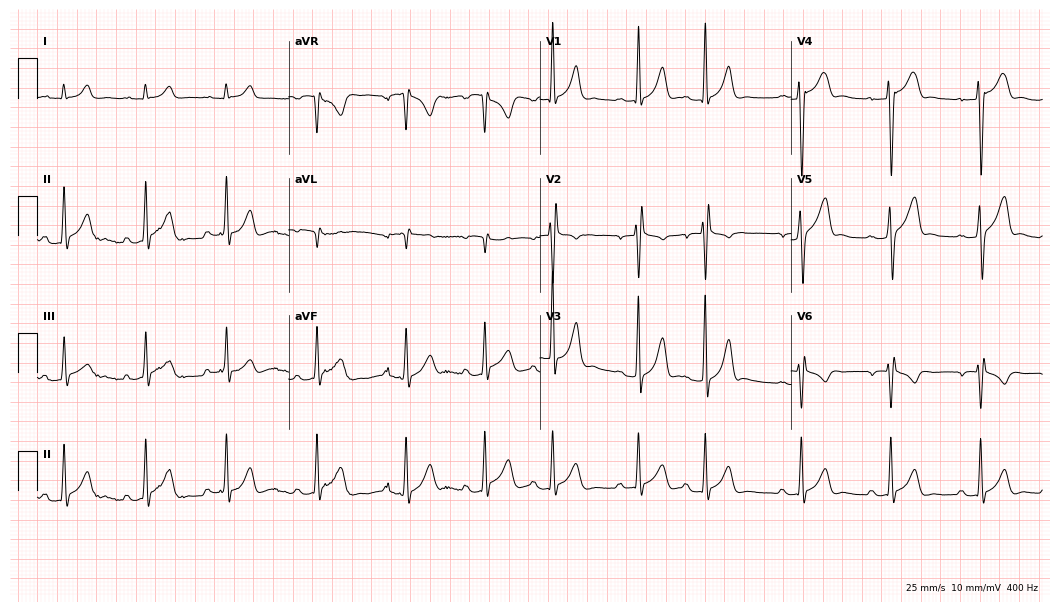
Resting 12-lead electrocardiogram (10.2-second recording at 400 Hz). Patient: a 17-year-old male. None of these six findings is recorded: first-degree AV block, right bundle branch block (RBBB), left bundle branch block (LBBB), sinus bradycardia, atrial fibrillation (AF), sinus tachycardia.